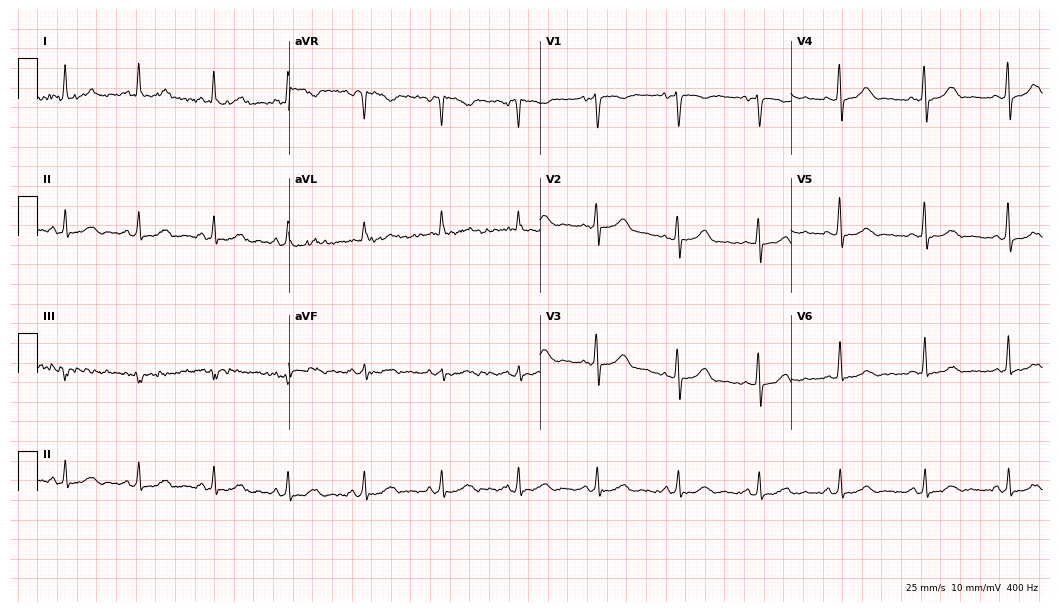
12-lead ECG from a 42-year-old woman. Labelled as a normal ECG.